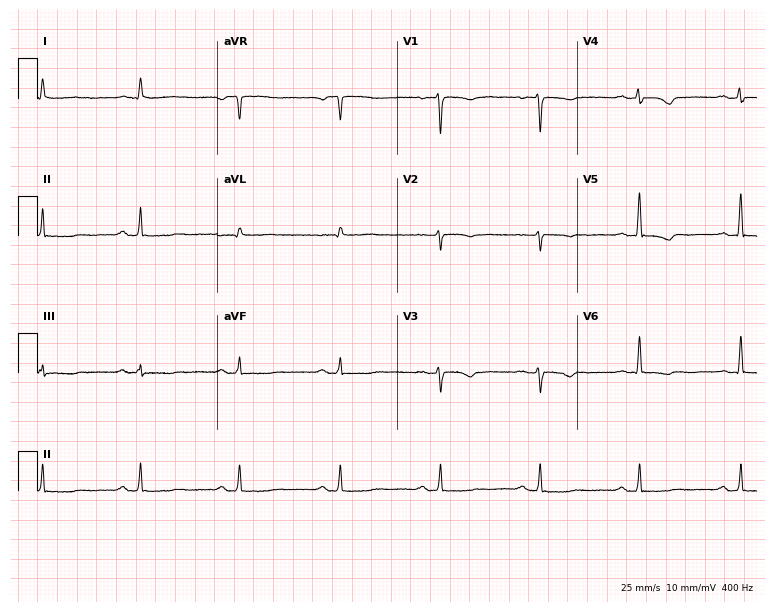
ECG — a female, 50 years old. Screened for six findings — first-degree AV block, right bundle branch block, left bundle branch block, sinus bradycardia, atrial fibrillation, sinus tachycardia — none is recorded. Only these six findings were labelled.